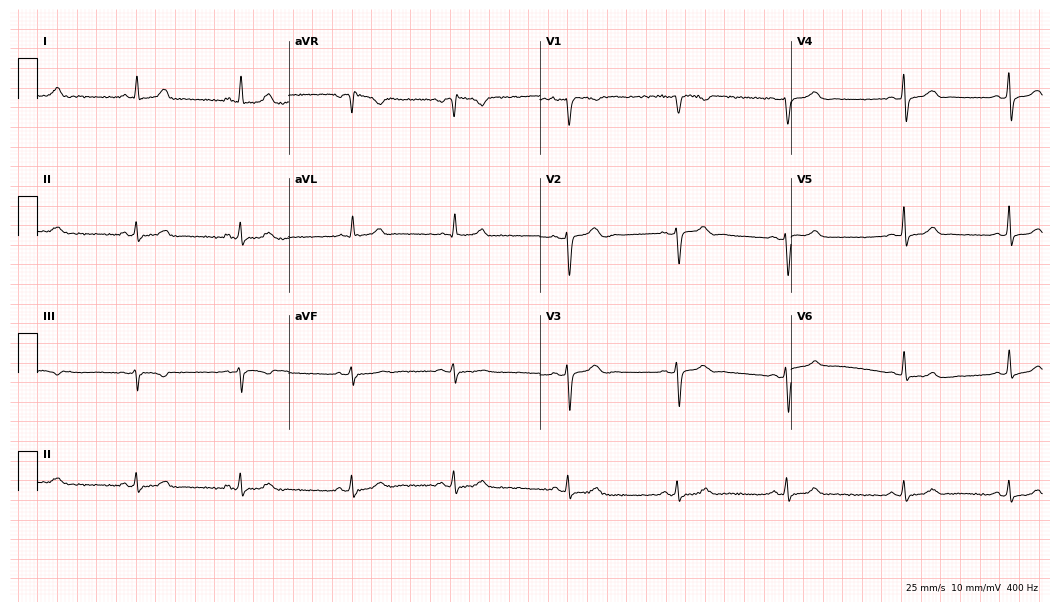
Standard 12-lead ECG recorded from a female, 37 years old (10.2-second recording at 400 Hz). None of these six findings is recorded: first-degree AV block, right bundle branch block, left bundle branch block, sinus bradycardia, atrial fibrillation, sinus tachycardia. Only these six findings were labelled.